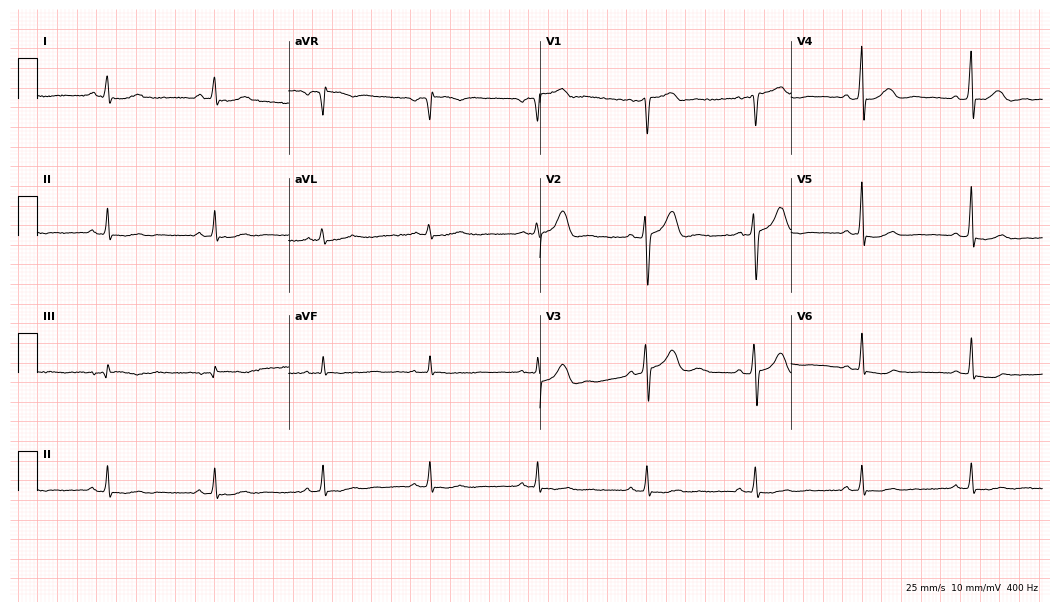
Resting 12-lead electrocardiogram (10.2-second recording at 400 Hz). Patient: a 52-year-old man. None of these six findings is recorded: first-degree AV block, right bundle branch block, left bundle branch block, sinus bradycardia, atrial fibrillation, sinus tachycardia.